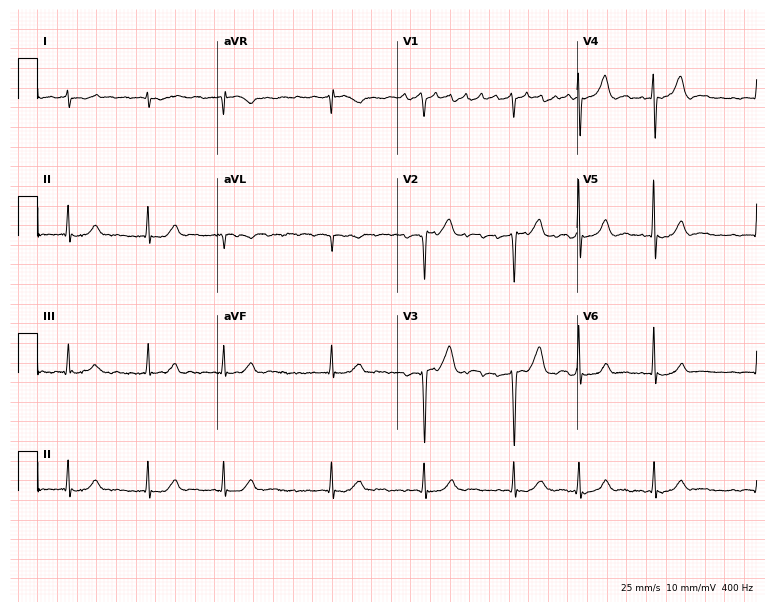
Electrocardiogram, a woman, 81 years old. Interpretation includes atrial fibrillation (AF).